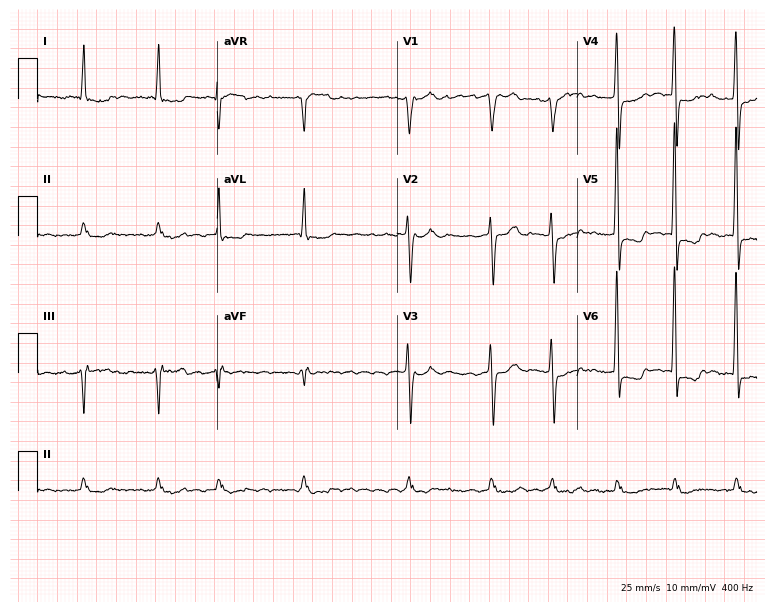
12-lead ECG from an 85-year-old male patient (7.3-second recording at 400 Hz). Shows atrial fibrillation.